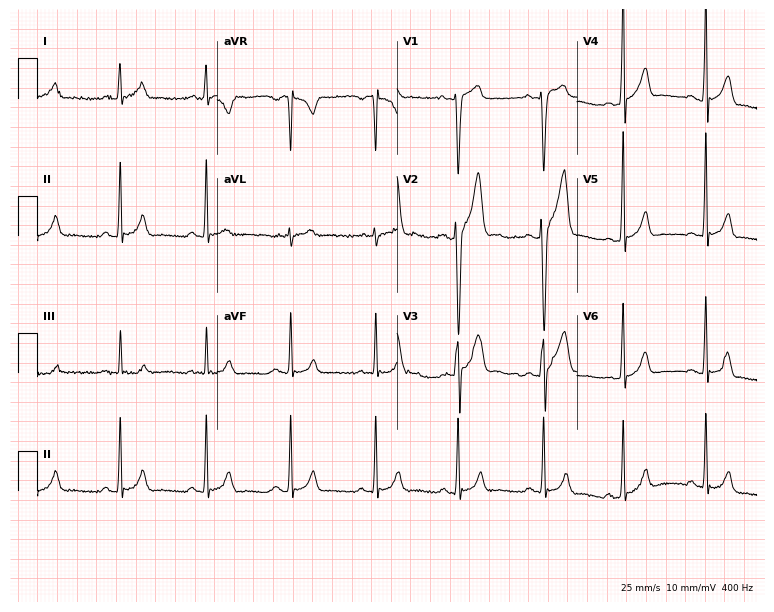
12-lead ECG from a 21-year-old male. Labelled as a normal ECG.